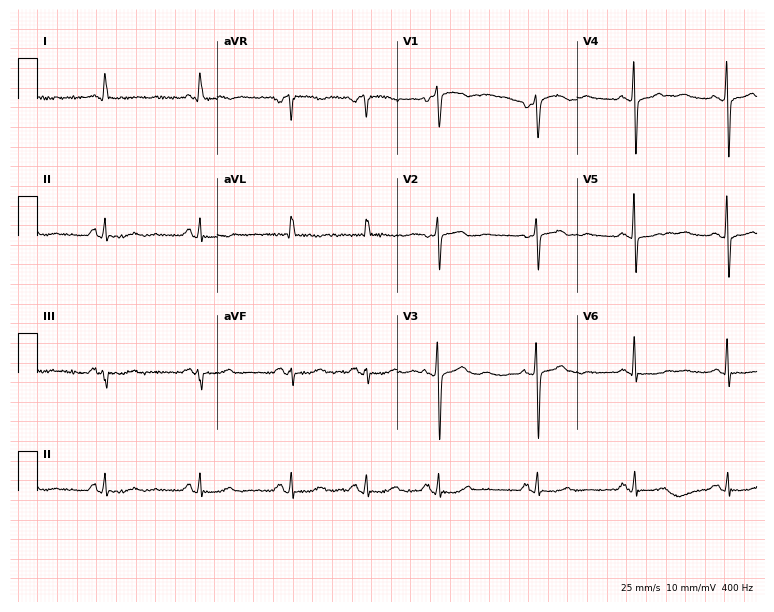
12-lead ECG from a man, 80 years old. Screened for six findings — first-degree AV block, right bundle branch block, left bundle branch block, sinus bradycardia, atrial fibrillation, sinus tachycardia — none is recorded.